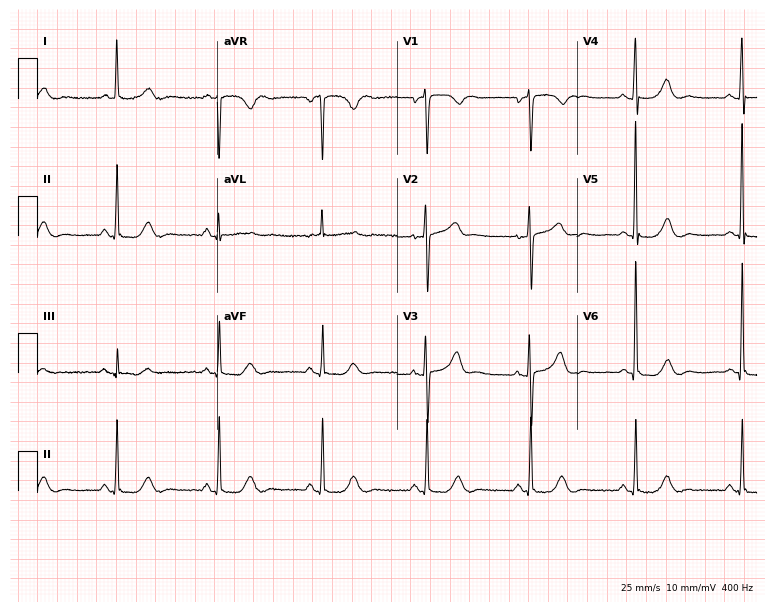
12-lead ECG (7.3-second recording at 400 Hz) from a 69-year-old female. Screened for six findings — first-degree AV block, right bundle branch block (RBBB), left bundle branch block (LBBB), sinus bradycardia, atrial fibrillation (AF), sinus tachycardia — none is recorded. Only these six findings were labelled.